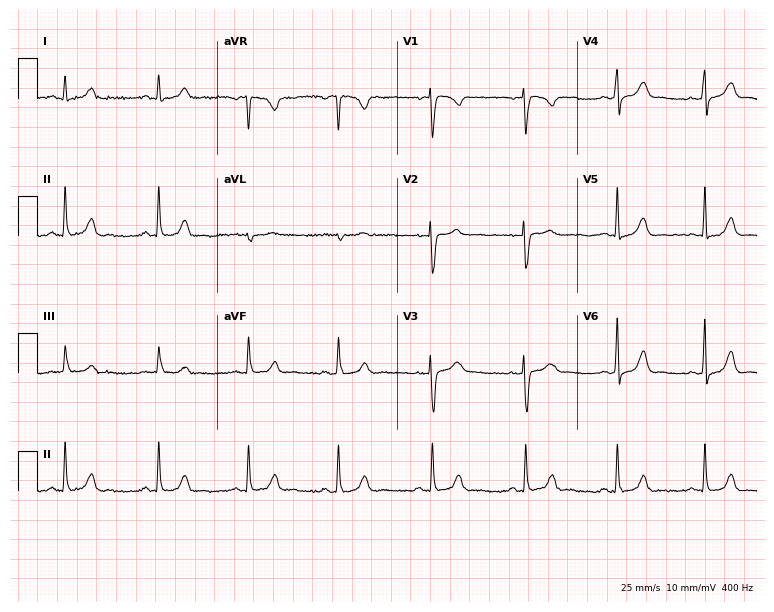
12-lead ECG from a woman, 23 years old. No first-degree AV block, right bundle branch block, left bundle branch block, sinus bradycardia, atrial fibrillation or sinus tachycardia recorded for this tracing.